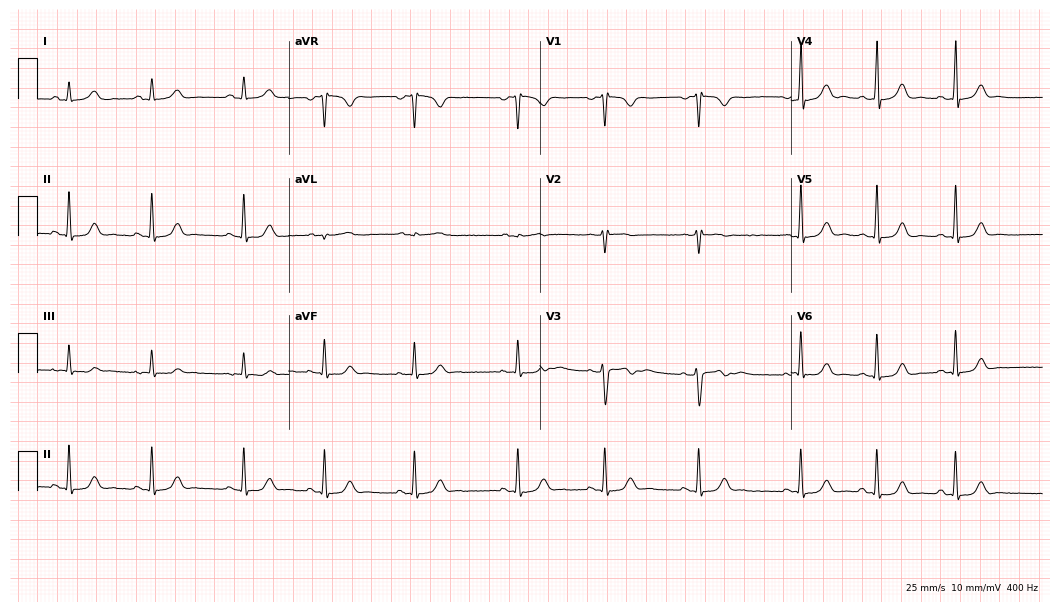
Resting 12-lead electrocardiogram (10.2-second recording at 400 Hz). Patient: a 19-year-old female. Read as a normal ECG.